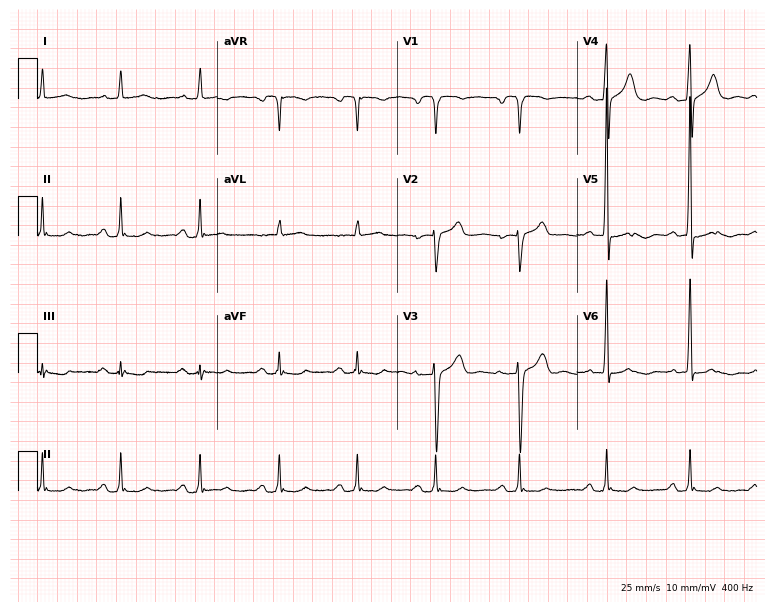
ECG — a 64-year-old man. Screened for six findings — first-degree AV block, right bundle branch block (RBBB), left bundle branch block (LBBB), sinus bradycardia, atrial fibrillation (AF), sinus tachycardia — none is recorded.